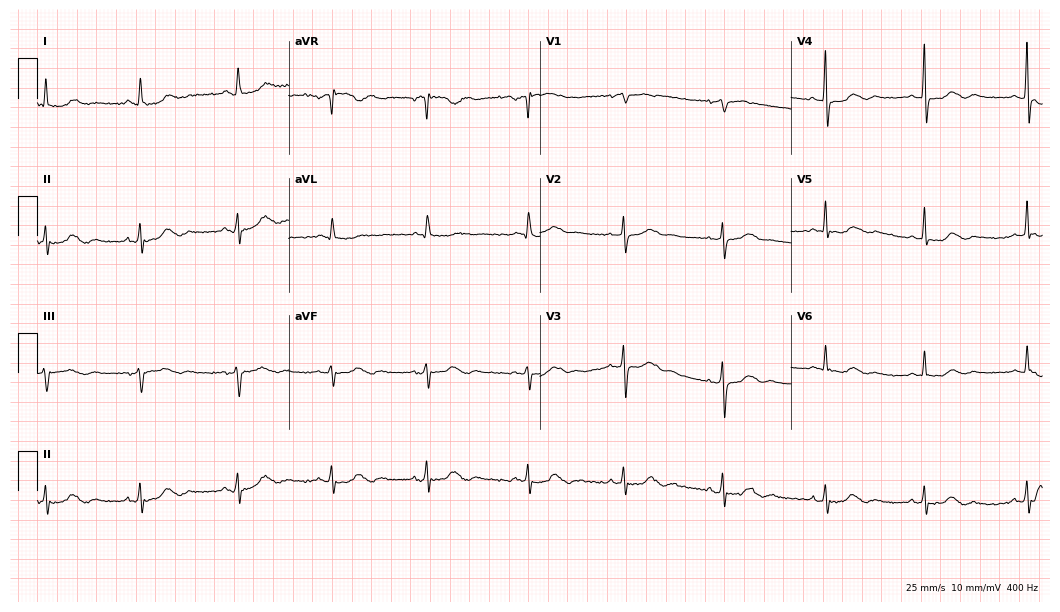
ECG (10.2-second recording at 400 Hz) — a 71-year-old female patient. Labelled as a normal ECG.